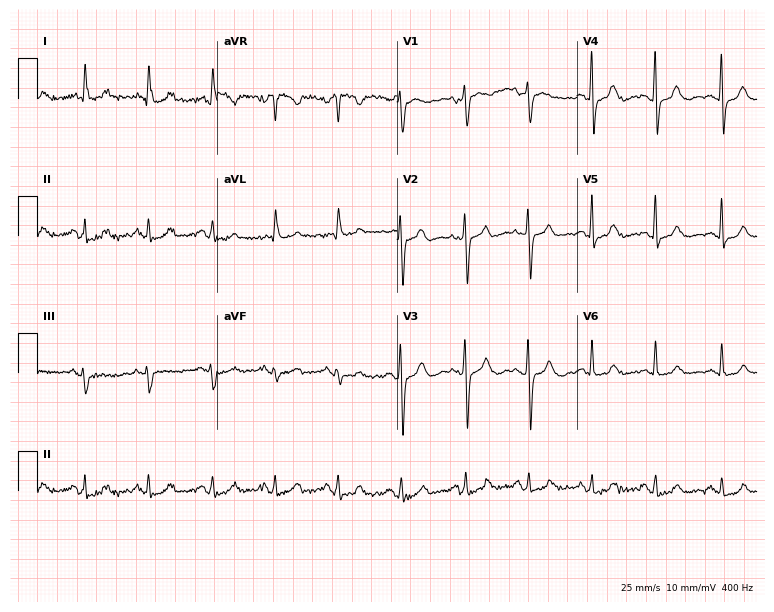
12-lead ECG (7.3-second recording at 400 Hz) from a female patient, 72 years old. Labelled as a normal ECG.